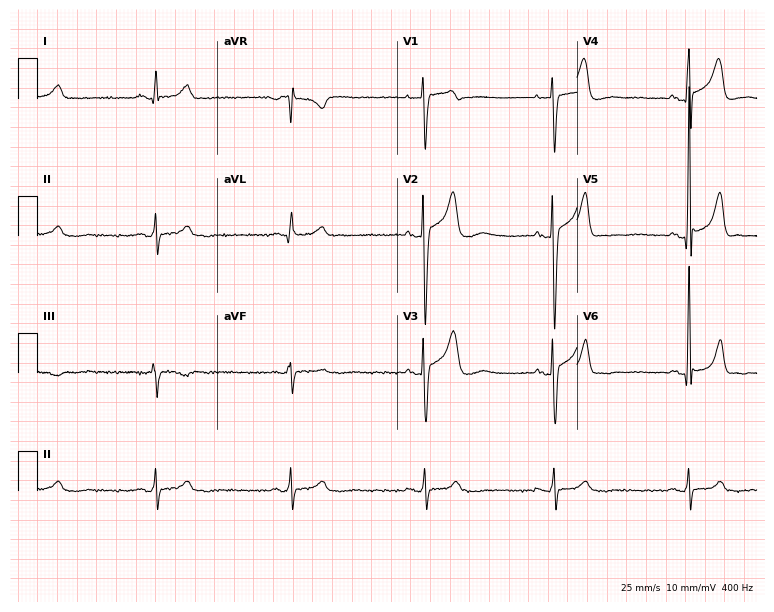
12-lead ECG from a male patient, 44 years old. Findings include sinus bradycardia (a sinus rate of 50 beats per minute or less).